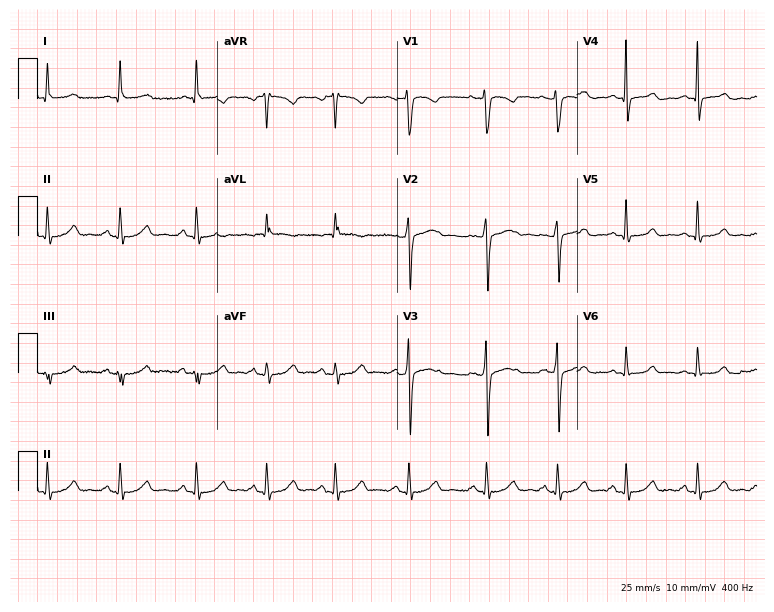
Resting 12-lead electrocardiogram (7.3-second recording at 400 Hz). Patient: a 31-year-old female. Read as a normal ECG.